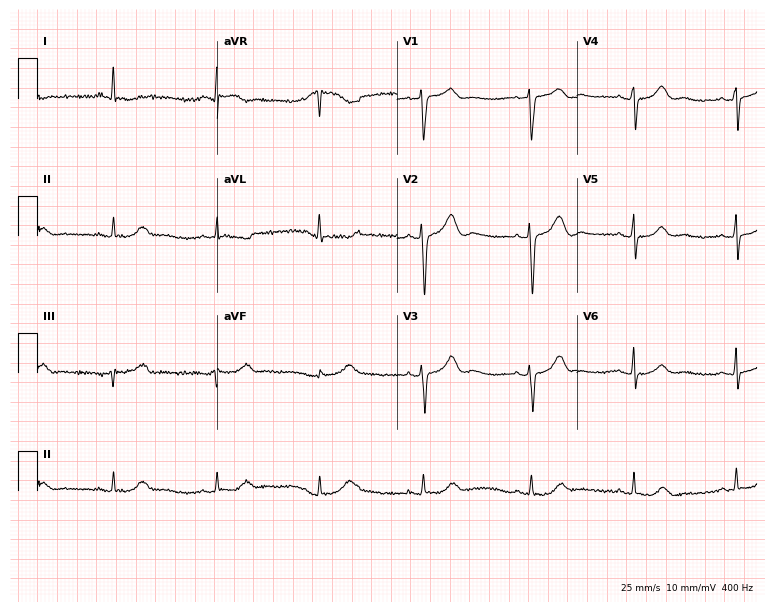
Standard 12-lead ECG recorded from a woman, 68 years old (7.3-second recording at 400 Hz). None of these six findings is recorded: first-degree AV block, right bundle branch block, left bundle branch block, sinus bradycardia, atrial fibrillation, sinus tachycardia.